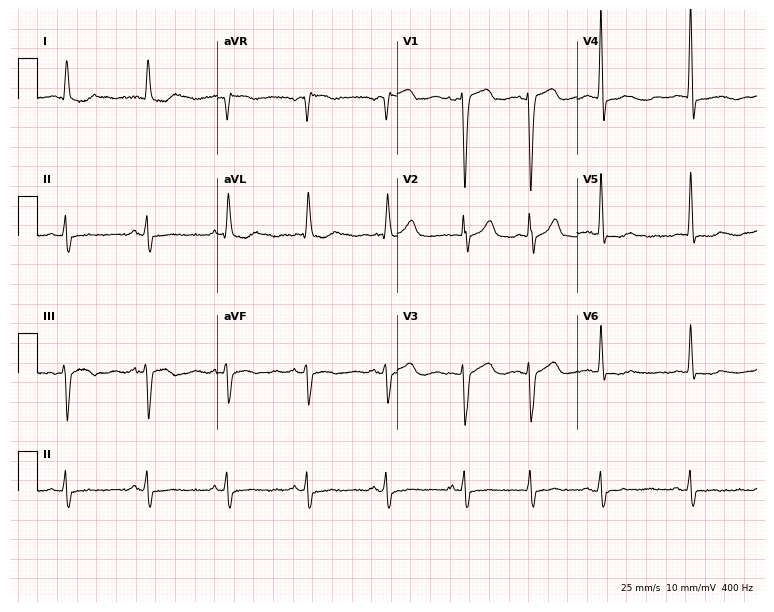
12-lead ECG from a female patient, 85 years old. No first-degree AV block, right bundle branch block (RBBB), left bundle branch block (LBBB), sinus bradycardia, atrial fibrillation (AF) or sinus tachycardia recorded for this tracing.